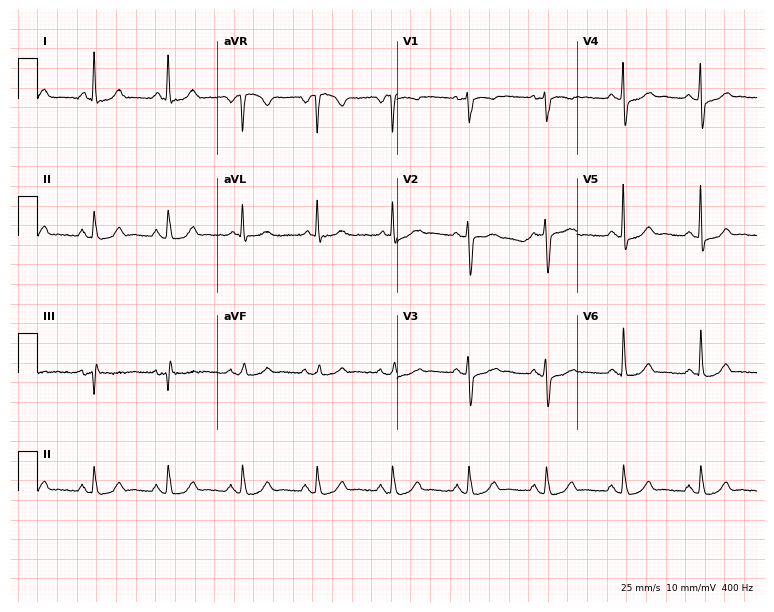
Standard 12-lead ECG recorded from a male patient, 58 years old. None of these six findings is recorded: first-degree AV block, right bundle branch block (RBBB), left bundle branch block (LBBB), sinus bradycardia, atrial fibrillation (AF), sinus tachycardia. Only these six findings were labelled.